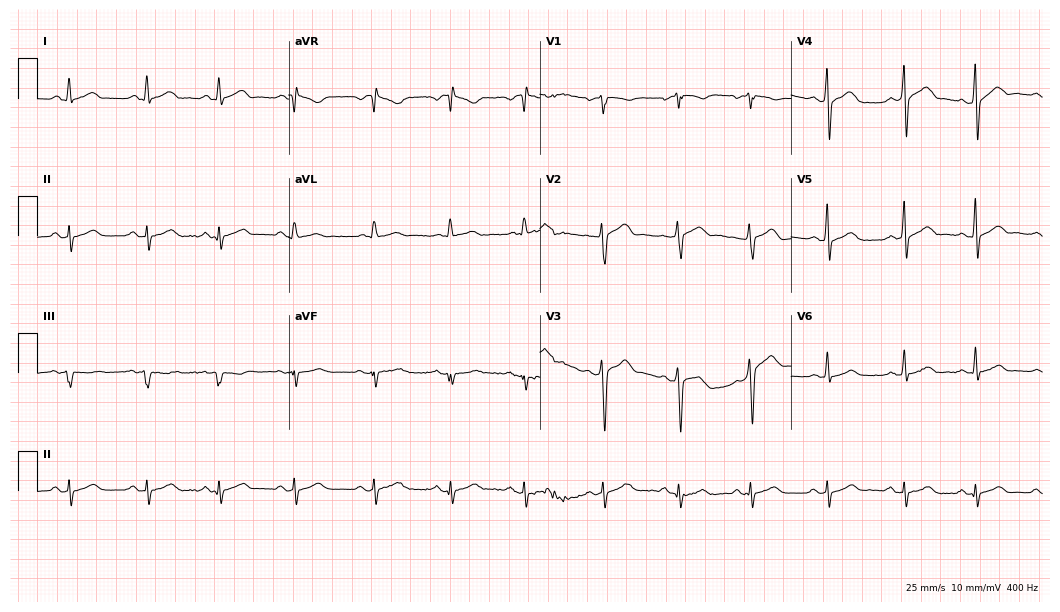
Electrocardiogram, a male, 35 years old. Of the six screened findings (first-degree AV block, right bundle branch block, left bundle branch block, sinus bradycardia, atrial fibrillation, sinus tachycardia), none is recorded. Only these six findings were labelled.